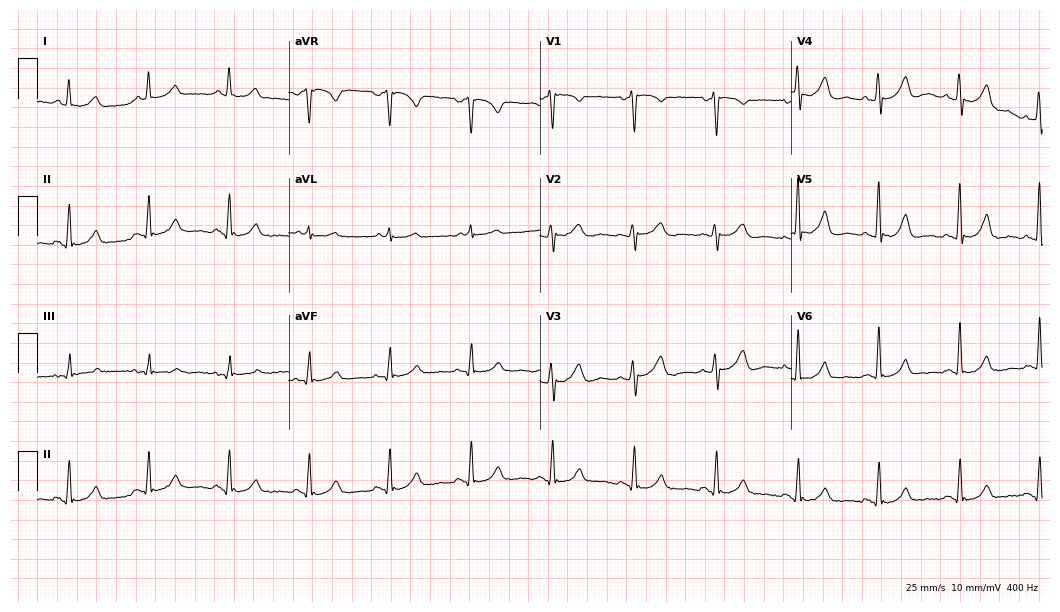
12-lead ECG (10.2-second recording at 400 Hz) from a 61-year-old male. Labelled as a normal ECG.